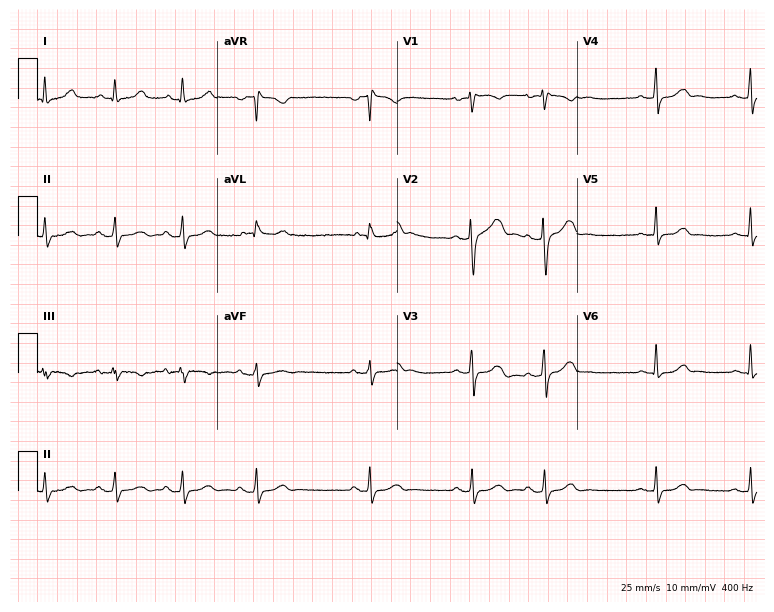
12-lead ECG from a female, 30 years old. Screened for six findings — first-degree AV block, right bundle branch block, left bundle branch block, sinus bradycardia, atrial fibrillation, sinus tachycardia — none is recorded.